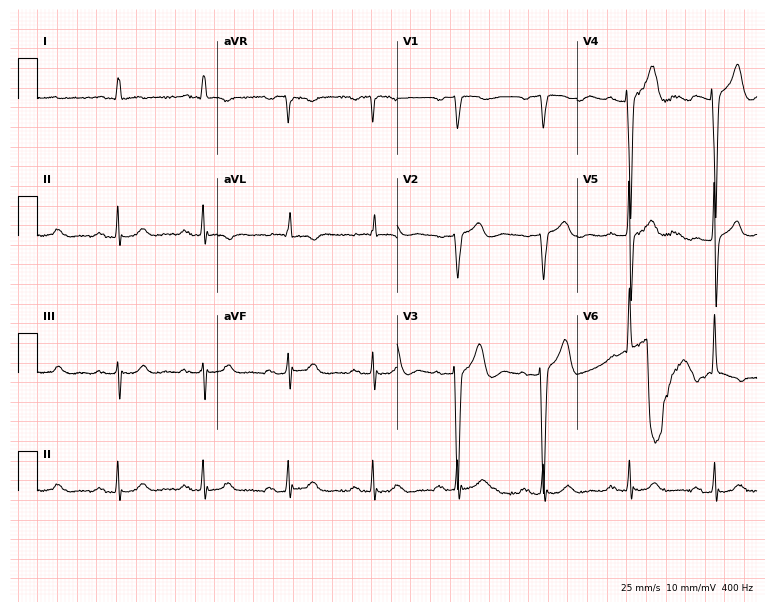
12-lead ECG from a man, 75 years old. Screened for six findings — first-degree AV block, right bundle branch block, left bundle branch block, sinus bradycardia, atrial fibrillation, sinus tachycardia — none is recorded.